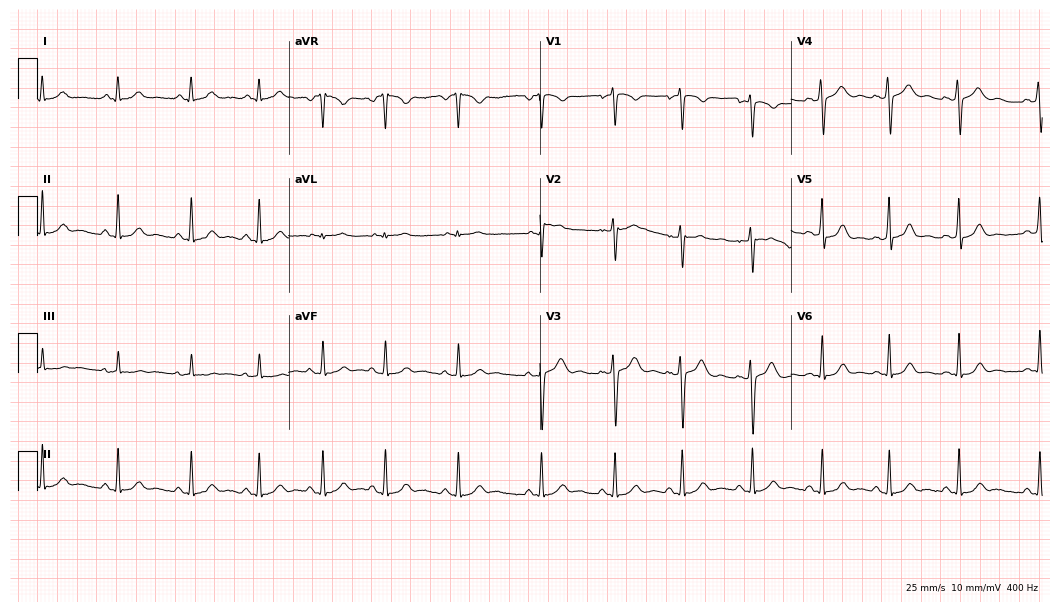
Standard 12-lead ECG recorded from an 18-year-old woman (10.2-second recording at 400 Hz). Read as a normal ECG.